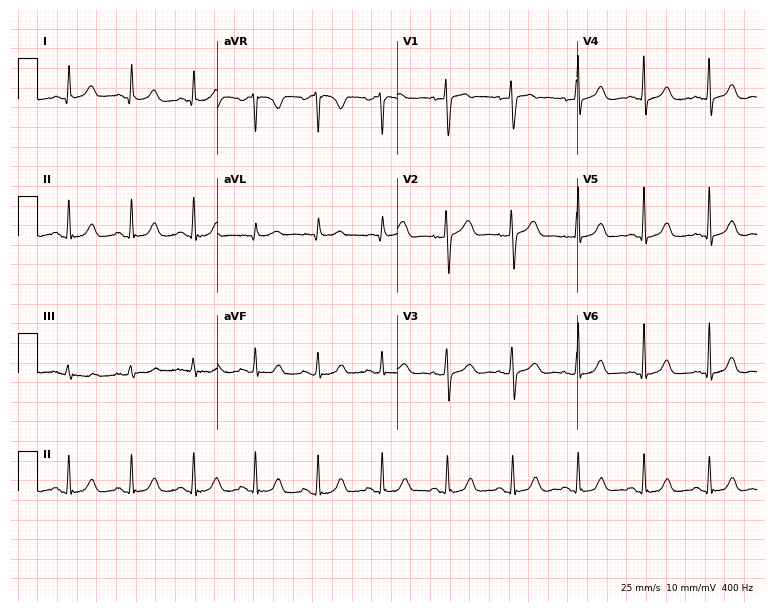
Resting 12-lead electrocardiogram (7.3-second recording at 400 Hz). Patient: a female, 51 years old. Read as a normal ECG.